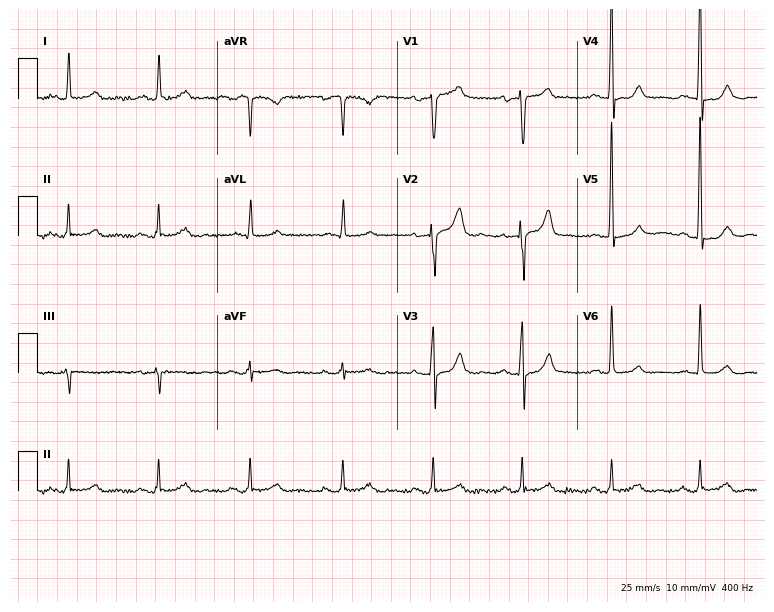
Resting 12-lead electrocardiogram. Patient: a man, 70 years old. None of these six findings is recorded: first-degree AV block, right bundle branch block, left bundle branch block, sinus bradycardia, atrial fibrillation, sinus tachycardia.